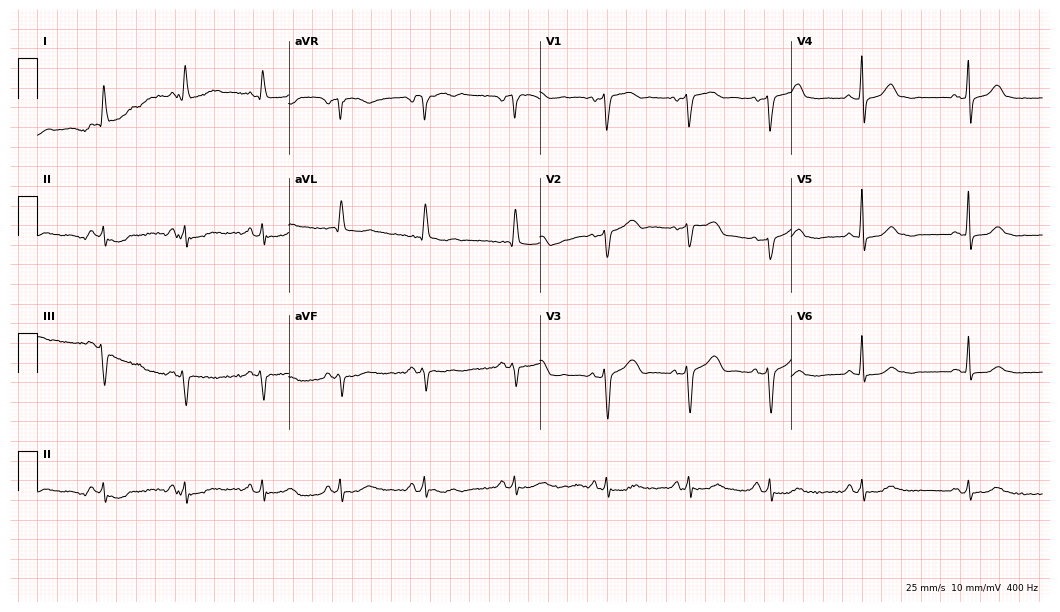
Electrocardiogram (10.2-second recording at 400 Hz), a 76-year-old woman. Of the six screened findings (first-degree AV block, right bundle branch block, left bundle branch block, sinus bradycardia, atrial fibrillation, sinus tachycardia), none is recorded.